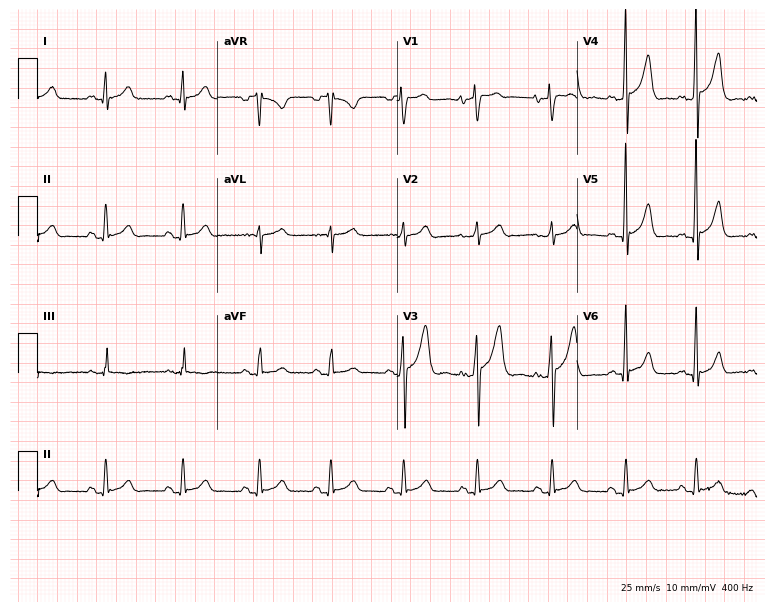
ECG — a male patient, 32 years old. Labelled as a normal ECG.